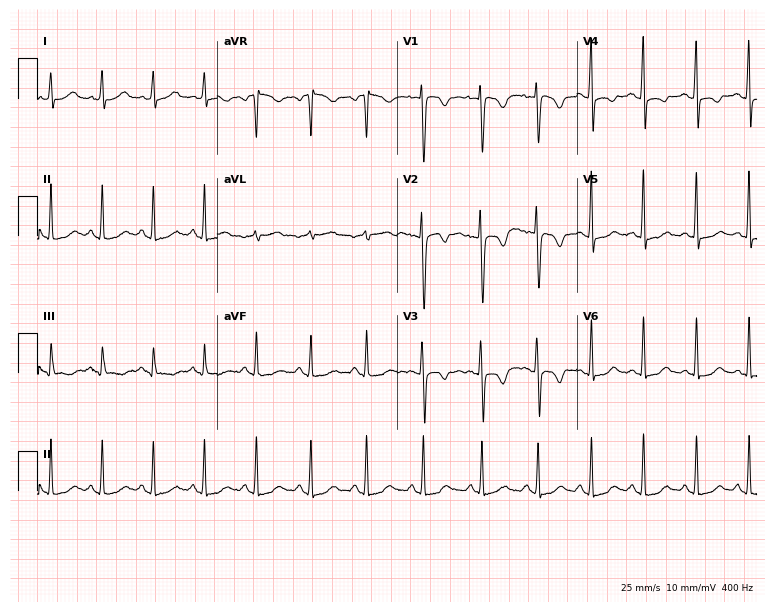
Standard 12-lead ECG recorded from a 40-year-old female. The tracing shows sinus tachycardia (a sinus rate of 100 beats per minute or more).